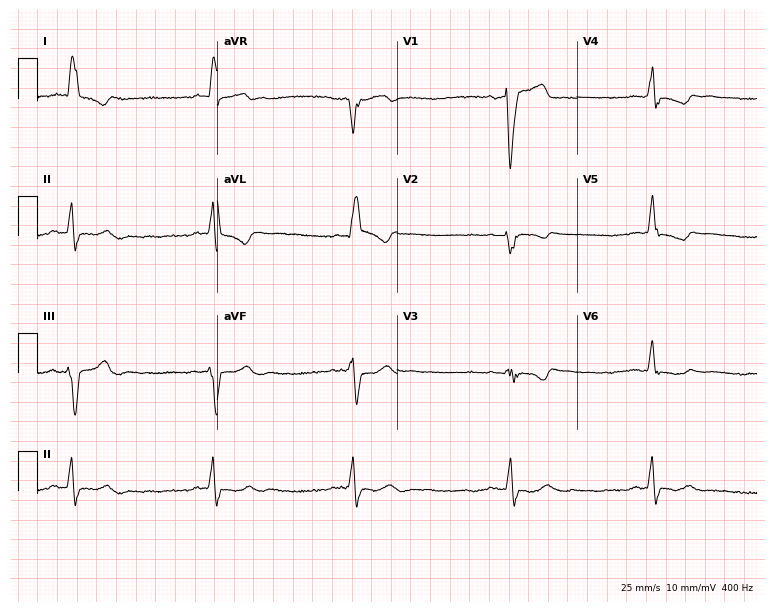
12-lead ECG from an 83-year-old female patient (7.3-second recording at 400 Hz). Shows left bundle branch block.